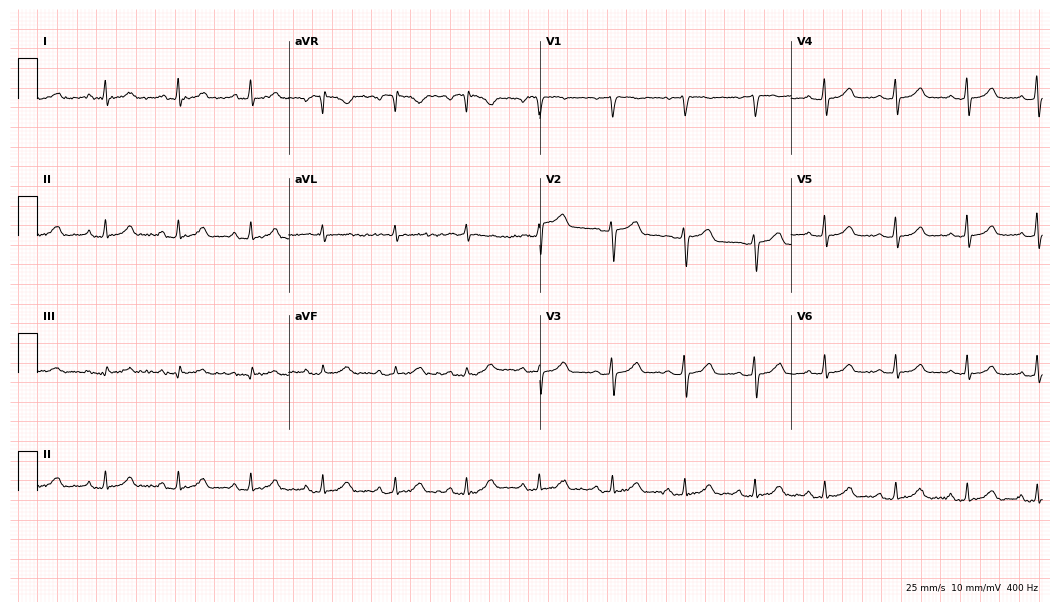
12-lead ECG from a 44-year-old woman. Screened for six findings — first-degree AV block, right bundle branch block, left bundle branch block, sinus bradycardia, atrial fibrillation, sinus tachycardia — none is recorded.